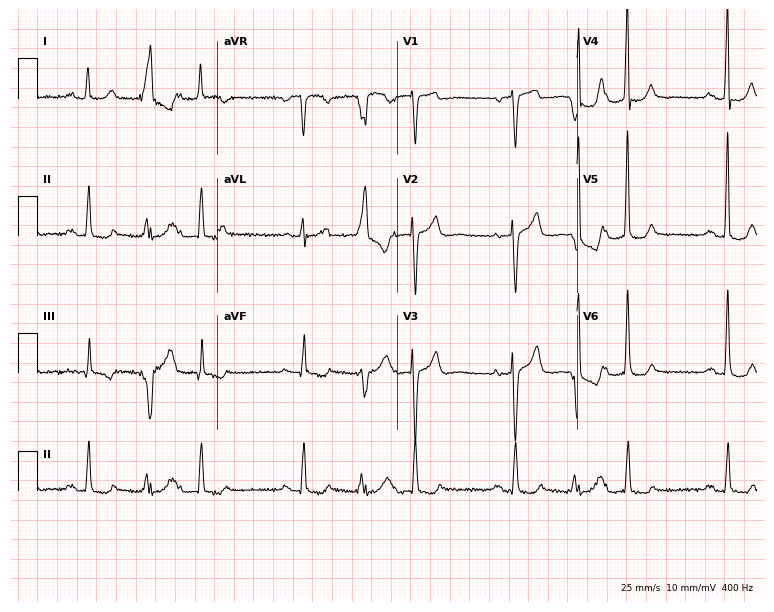
ECG — a woman, 70 years old. Screened for six findings — first-degree AV block, right bundle branch block (RBBB), left bundle branch block (LBBB), sinus bradycardia, atrial fibrillation (AF), sinus tachycardia — none is recorded. Findings outside these six are not listed.